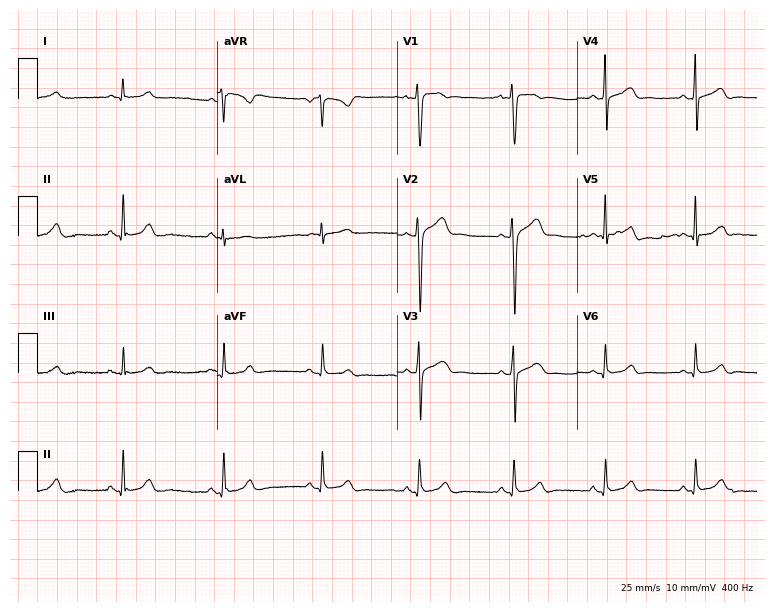
Resting 12-lead electrocardiogram. Patient: a male, 32 years old. Read as a normal ECG.